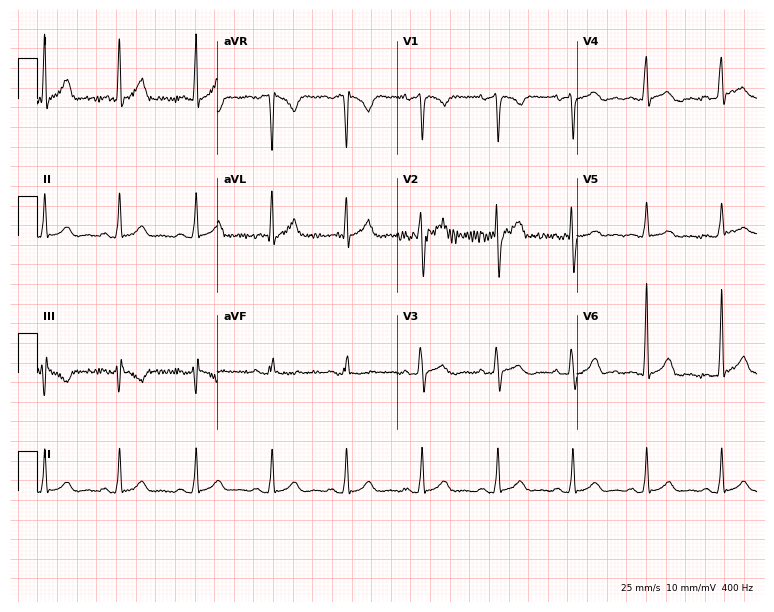
Resting 12-lead electrocardiogram (7.3-second recording at 400 Hz). Patient: a 30-year-old man. Read as a normal ECG.